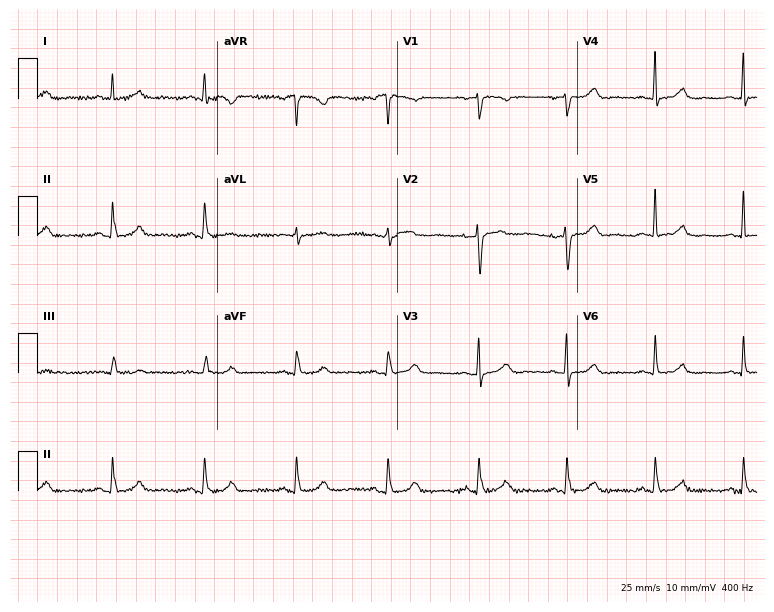
Resting 12-lead electrocardiogram (7.3-second recording at 400 Hz). Patient: a female, 54 years old. Read as a normal ECG.